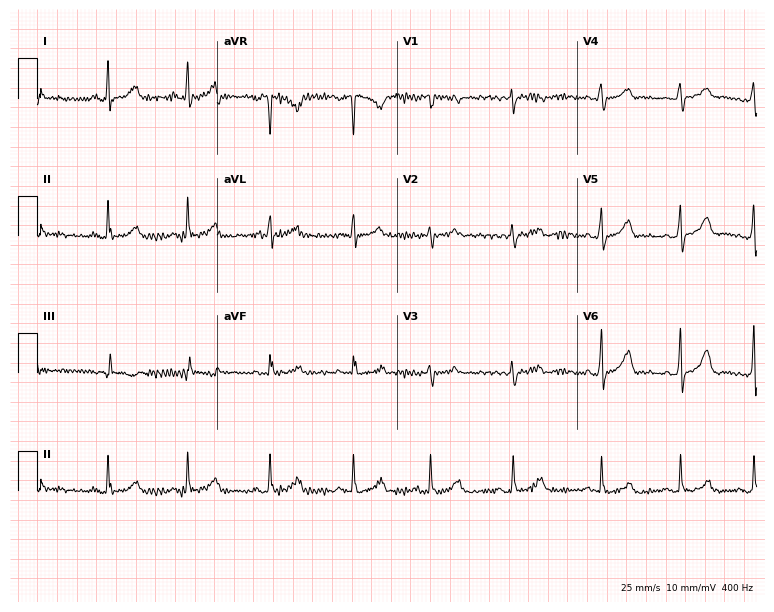
Standard 12-lead ECG recorded from a woman, 39 years old. Read as a normal ECG.